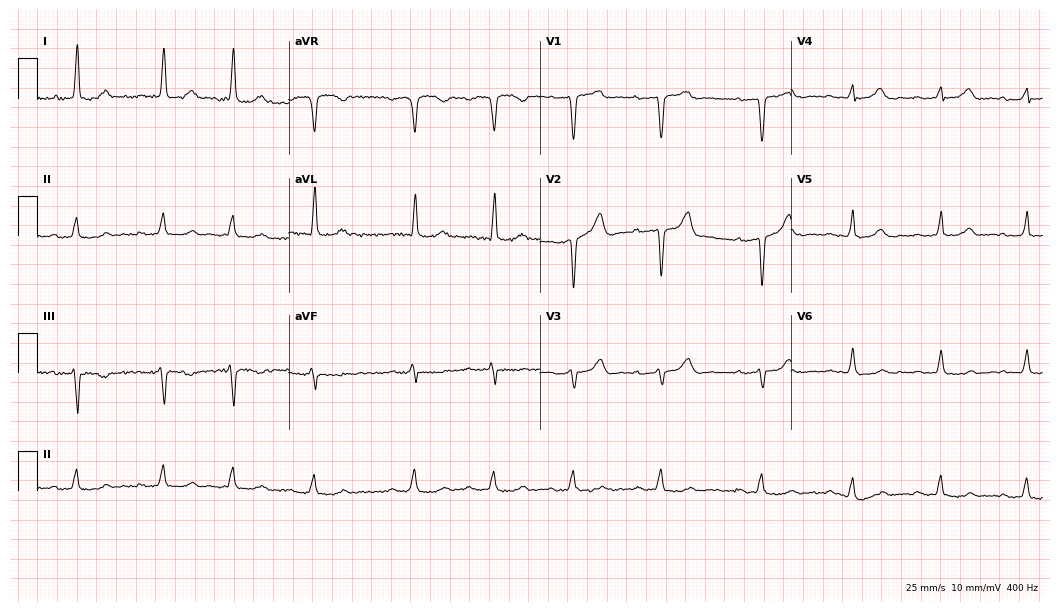
Standard 12-lead ECG recorded from a male, 83 years old. The tracing shows first-degree AV block.